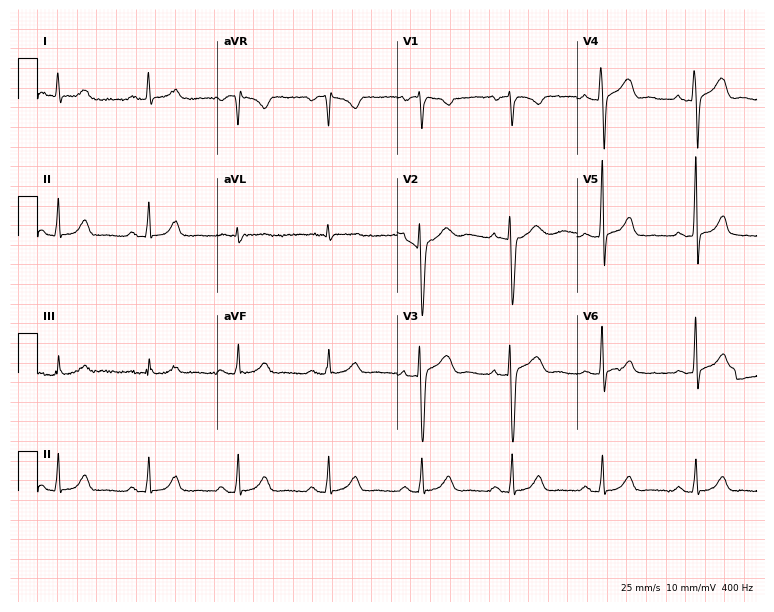
ECG (7.3-second recording at 400 Hz) — a 61-year-old male. Labelled as a normal ECG.